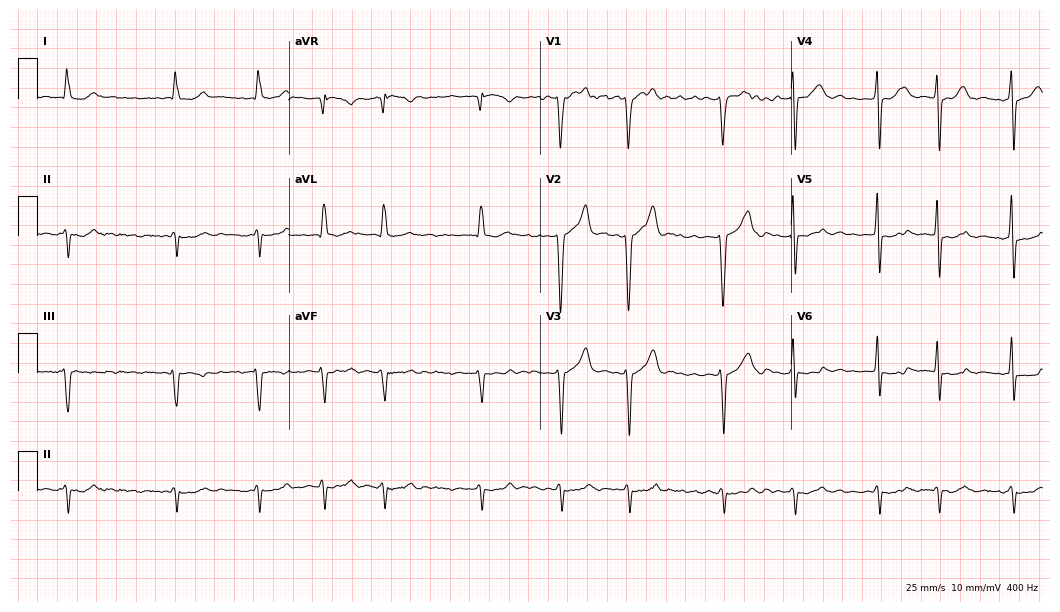
ECG (10.2-second recording at 400 Hz) — a 78-year-old male. Findings include atrial fibrillation.